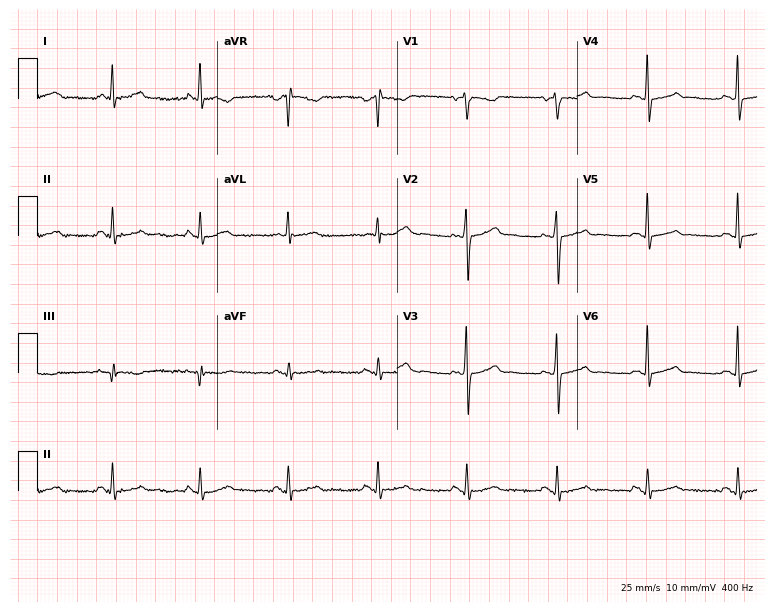
12-lead ECG (7.3-second recording at 400 Hz) from a male, 60 years old. Labelled as a normal ECG.